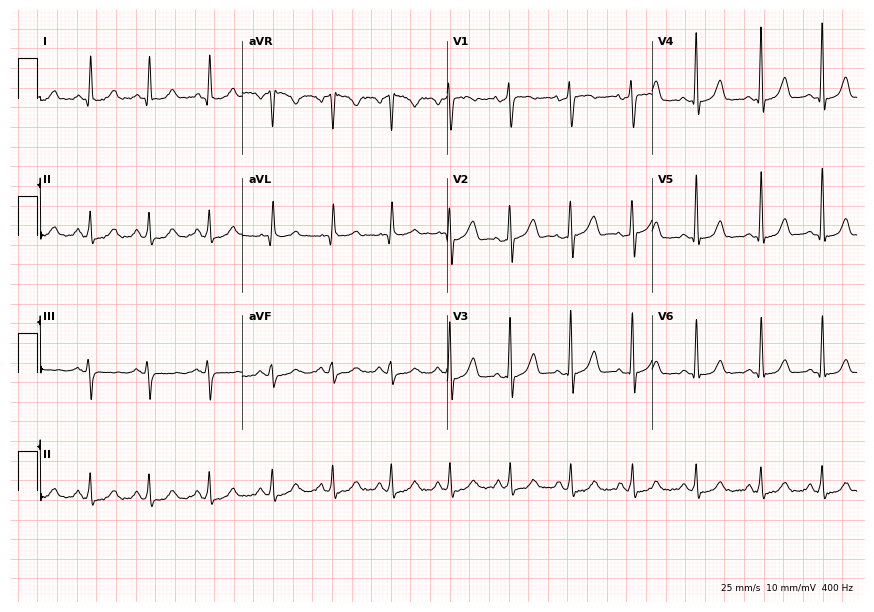
Resting 12-lead electrocardiogram. Patient: a 43-year-old female. Read as a normal ECG.